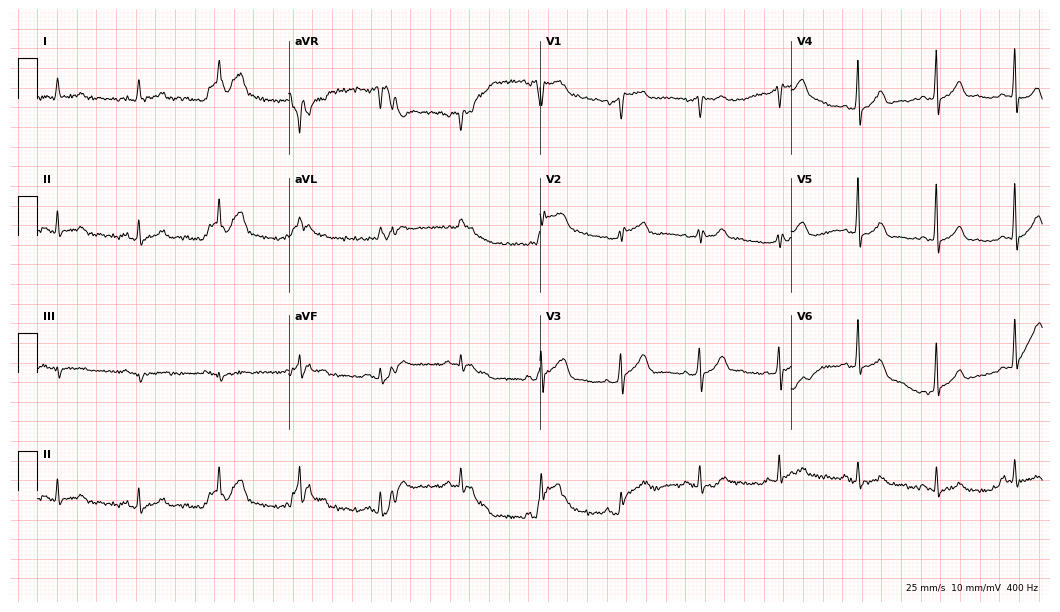
Electrocardiogram, a male patient, 59 years old. Of the six screened findings (first-degree AV block, right bundle branch block, left bundle branch block, sinus bradycardia, atrial fibrillation, sinus tachycardia), none is recorded.